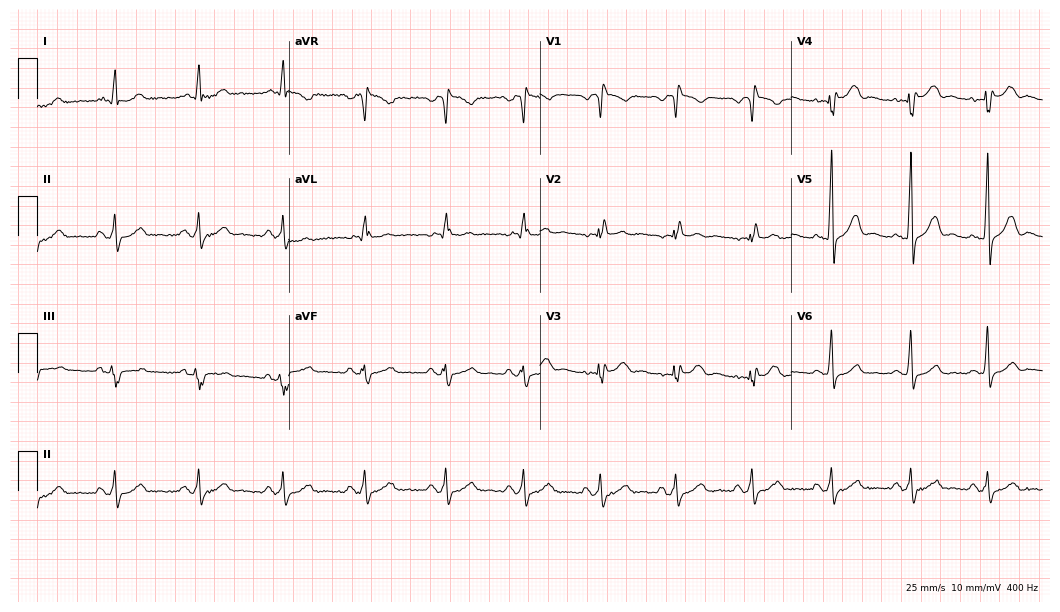
Standard 12-lead ECG recorded from a 59-year-old male (10.2-second recording at 400 Hz). The tracing shows right bundle branch block (RBBB).